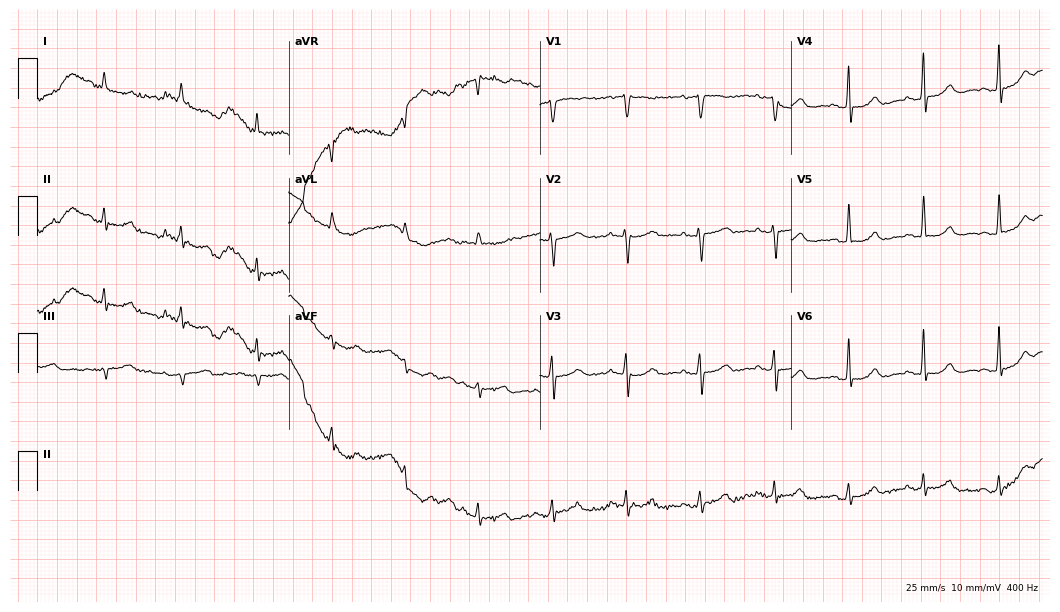
12-lead ECG from a 70-year-old female patient. Screened for six findings — first-degree AV block, right bundle branch block (RBBB), left bundle branch block (LBBB), sinus bradycardia, atrial fibrillation (AF), sinus tachycardia — none is recorded. Findings outside these six are not listed.